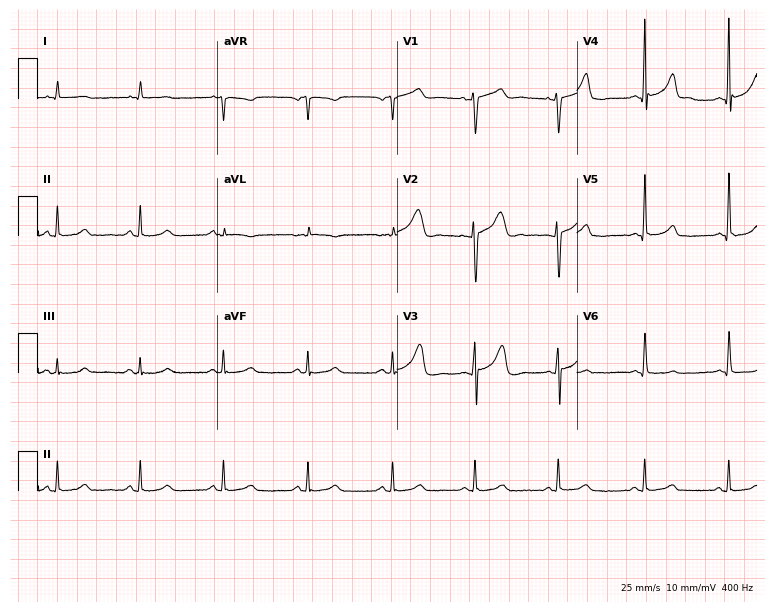
Resting 12-lead electrocardiogram (7.3-second recording at 400 Hz). Patient: a male, 42 years old. None of these six findings is recorded: first-degree AV block, right bundle branch block, left bundle branch block, sinus bradycardia, atrial fibrillation, sinus tachycardia. Findings outside these six are not listed.